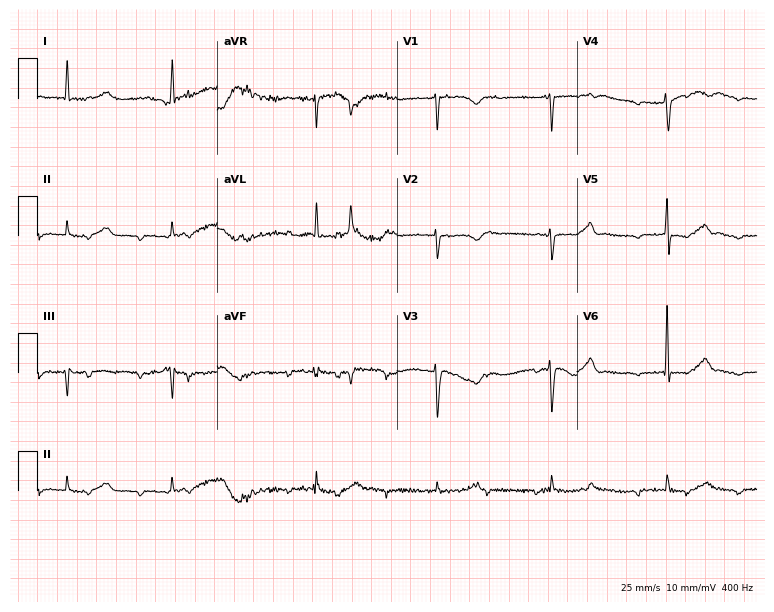
12-lead ECG from a female, 83 years old. Screened for six findings — first-degree AV block, right bundle branch block, left bundle branch block, sinus bradycardia, atrial fibrillation, sinus tachycardia — none is recorded.